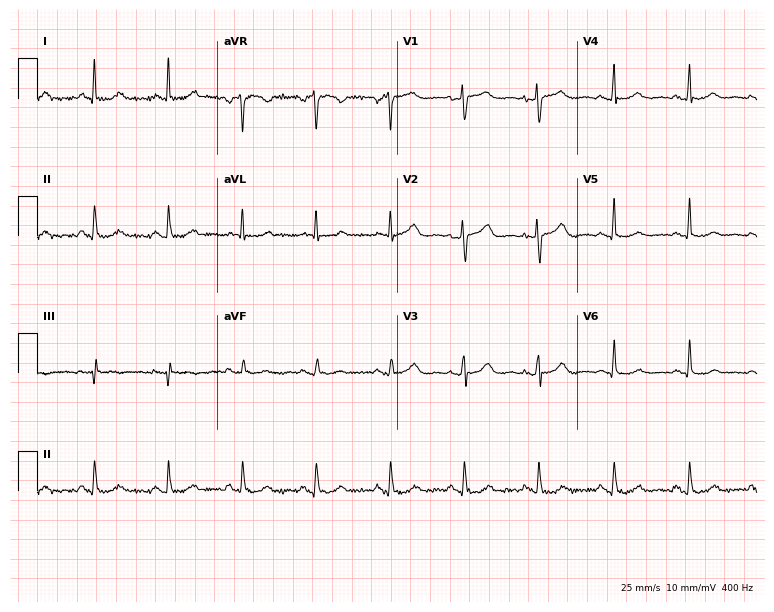
Standard 12-lead ECG recorded from a woman, 56 years old (7.3-second recording at 400 Hz). None of these six findings is recorded: first-degree AV block, right bundle branch block, left bundle branch block, sinus bradycardia, atrial fibrillation, sinus tachycardia.